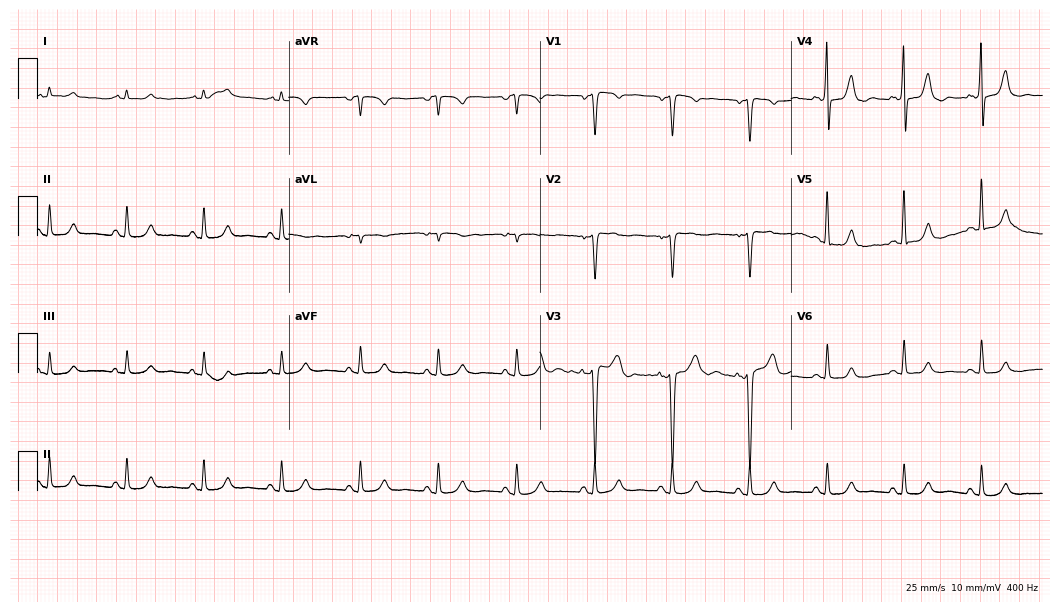
Electrocardiogram, a male, 54 years old. Of the six screened findings (first-degree AV block, right bundle branch block (RBBB), left bundle branch block (LBBB), sinus bradycardia, atrial fibrillation (AF), sinus tachycardia), none is recorded.